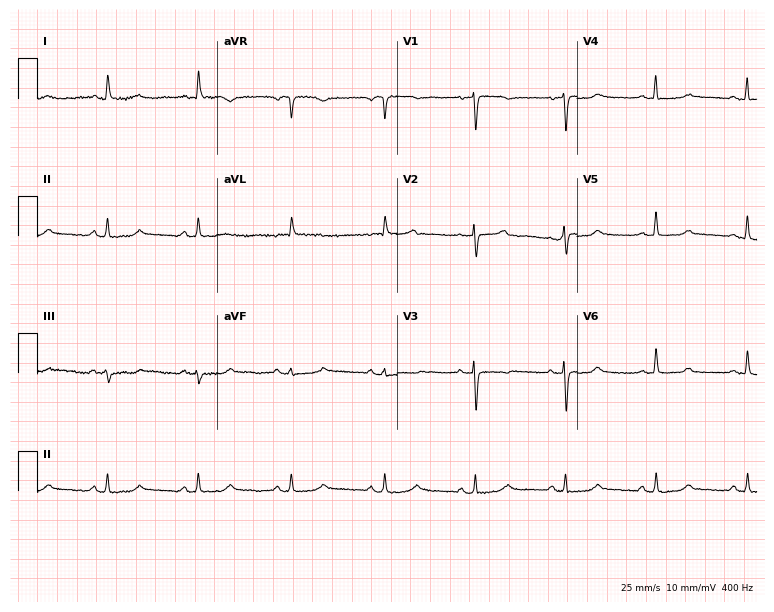
Resting 12-lead electrocardiogram (7.3-second recording at 400 Hz). Patient: a 52-year-old female. Read as a normal ECG.